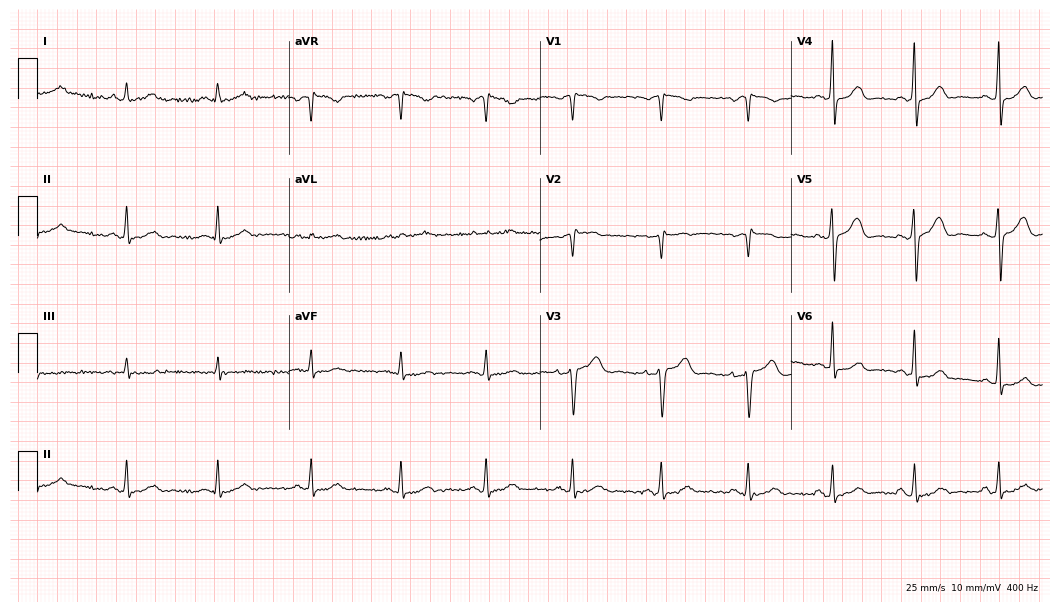
Electrocardiogram, a 51-year-old female patient. Overall reading on record: normal ECG.